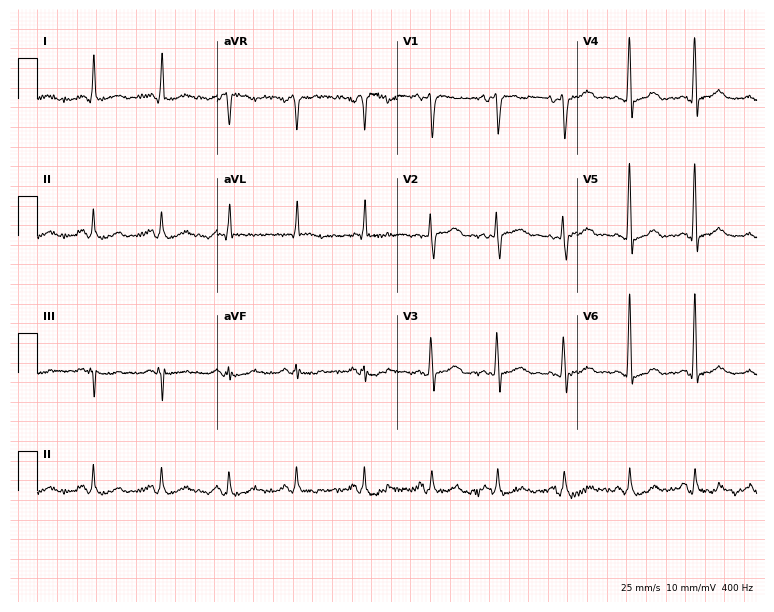
Electrocardiogram (7.3-second recording at 400 Hz), a woman, 48 years old. Of the six screened findings (first-degree AV block, right bundle branch block, left bundle branch block, sinus bradycardia, atrial fibrillation, sinus tachycardia), none is recorded. Only these six findings were labelled.